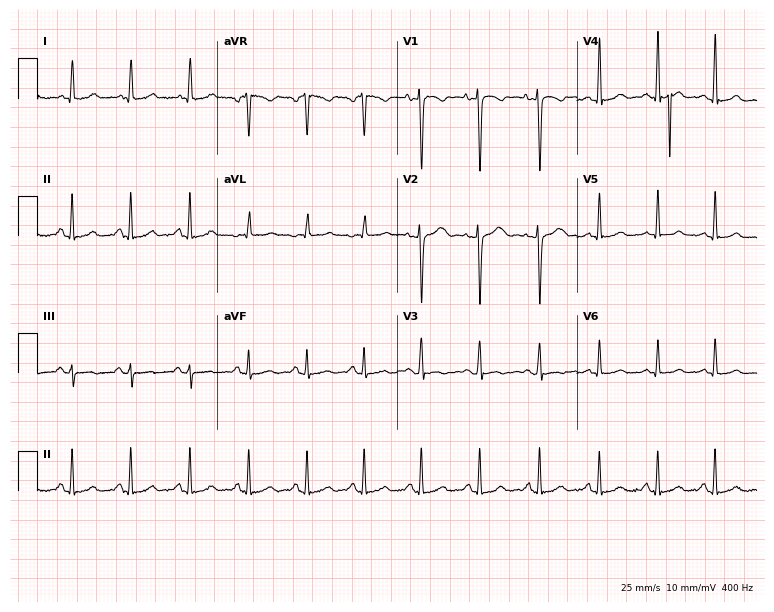
12-lead ECG from a 27-year-old woman. Findings include sinus tachycardia (a sinus rate of 100 beats per minute or more).